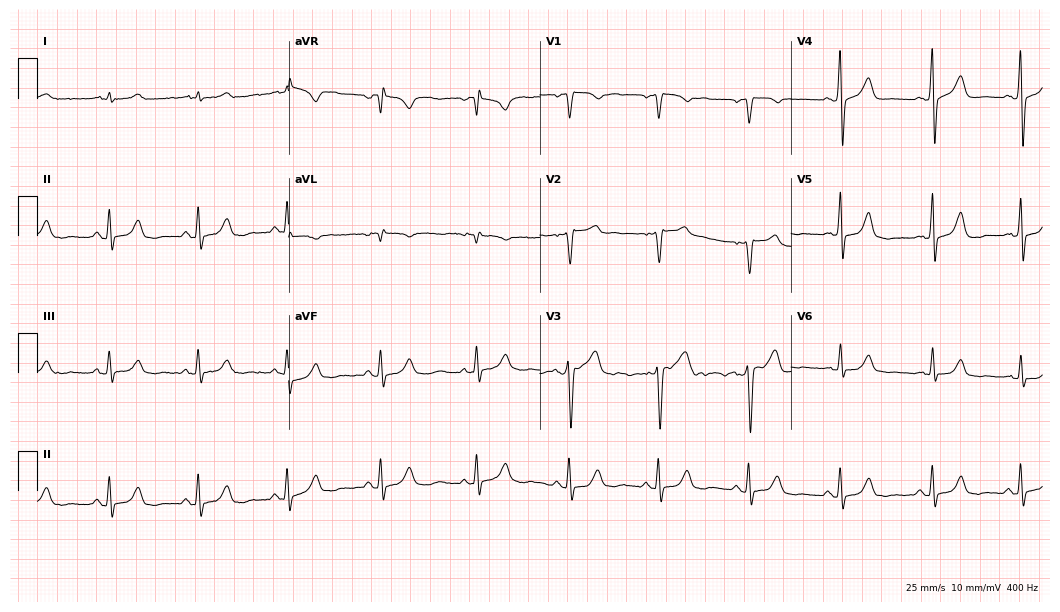
Standard 12-lead ECG recorded from a 50-year-old male patient (10.2-second recording at 400 Hz). Read as a normal ECG.